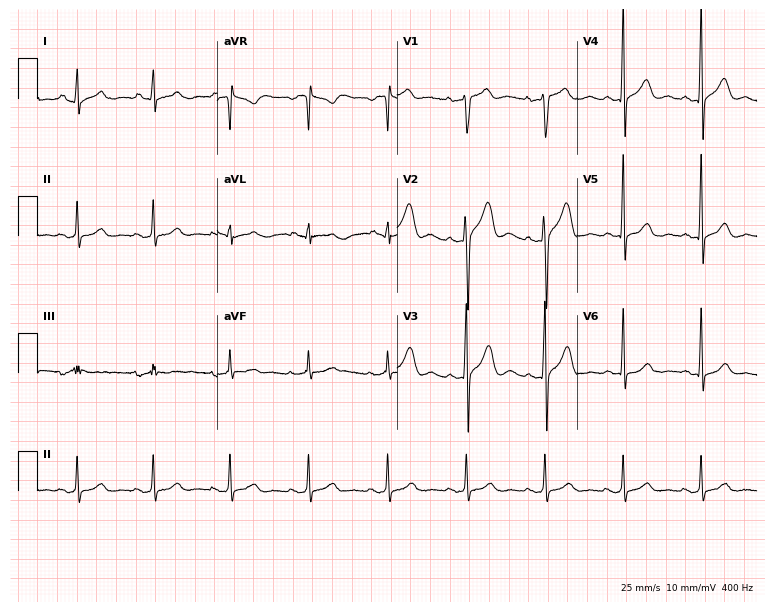
Standard 12-lead ECG recorded from a 27-year-old man (7.3-second recording at 400 Hz). Read as a normal ECG.